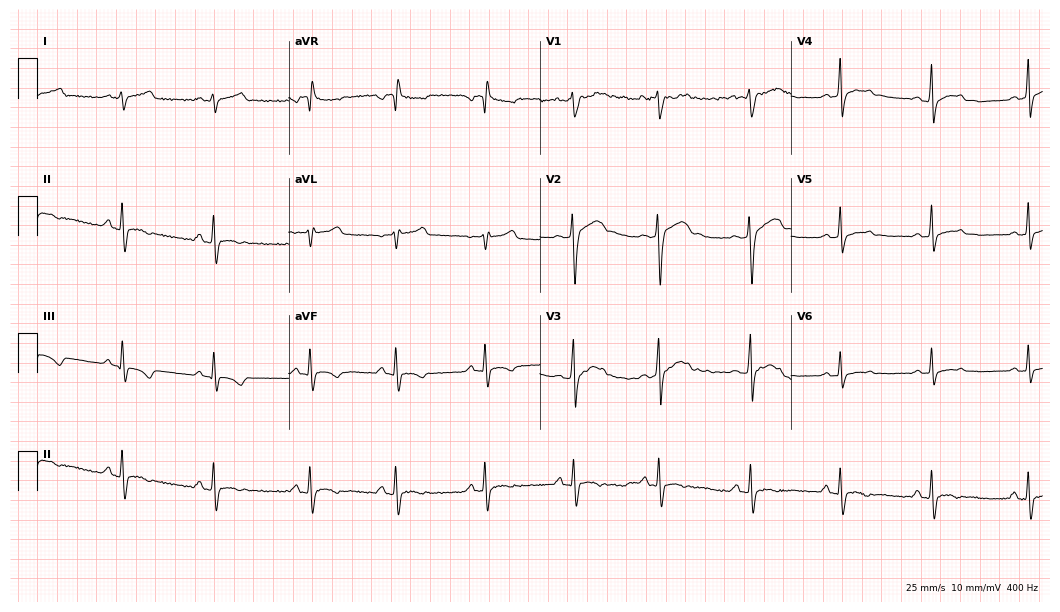
12-lead ECG from an 18-year-old male patient. Screened for six findings — first-degree AV block, right bundle branch block, left bundle branch block, sinus bradycardia, atrial fibrillation, sinus tachycardia — none is recorded. Other findings, if any, are not listed.